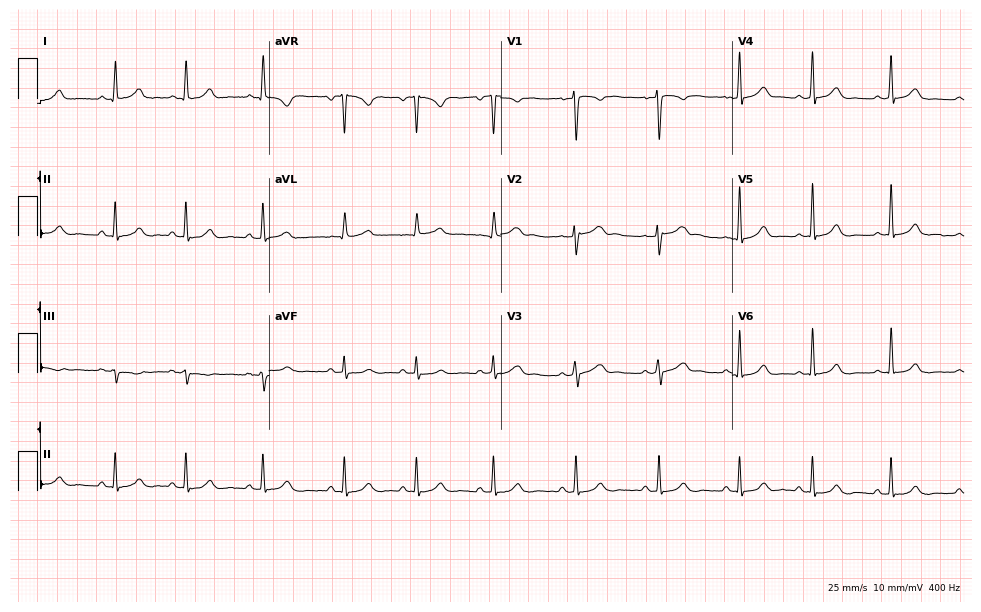
ECG (9.4-second recording at 400 Hz) — a 24-year-old female patient. Labelled as a normal ECG.